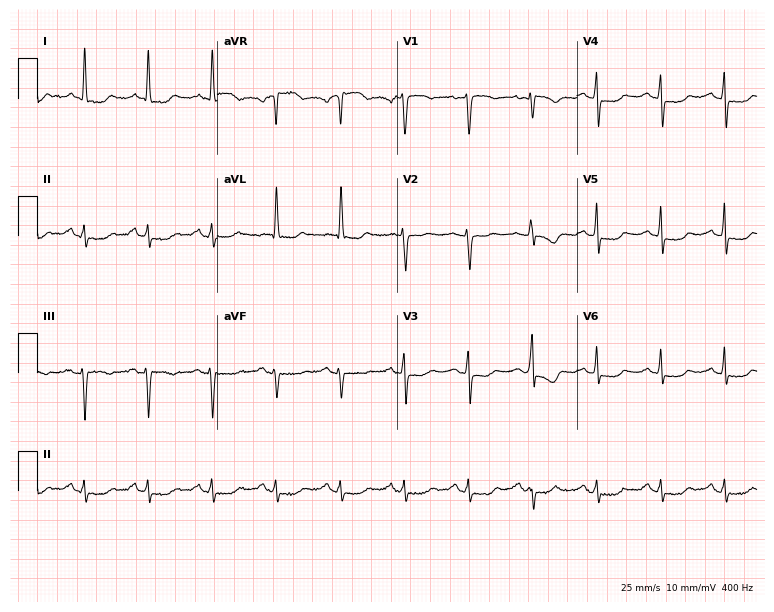
12-lead ECG from an 82-year-old female. Screened for six findings — first-degree AV block, right bundle branch block, left bundle branch block, sinus bradycardia, atrial fibrillation, sinus tachycardia — none is recorded.